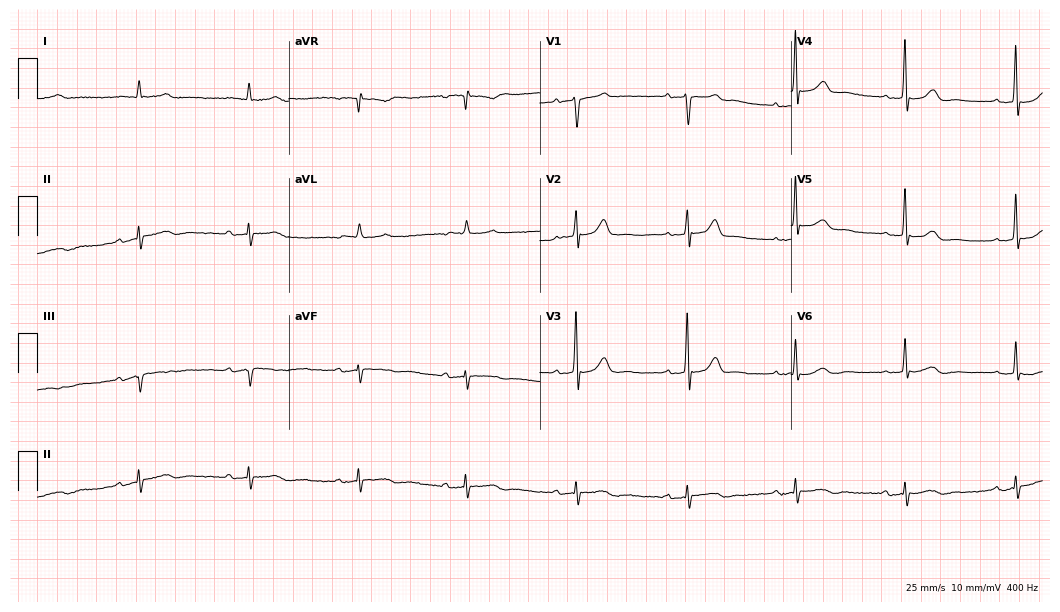
Standard 12-lead ECG recorded from an 80-year-old man (10.2-second recording at 400 Hz). None of these six findings is recorded: first-degree AV block, right bundle branch block, left bundle branch block, sinus bradycardia, atrial fibrillation, sinus tachycardia.